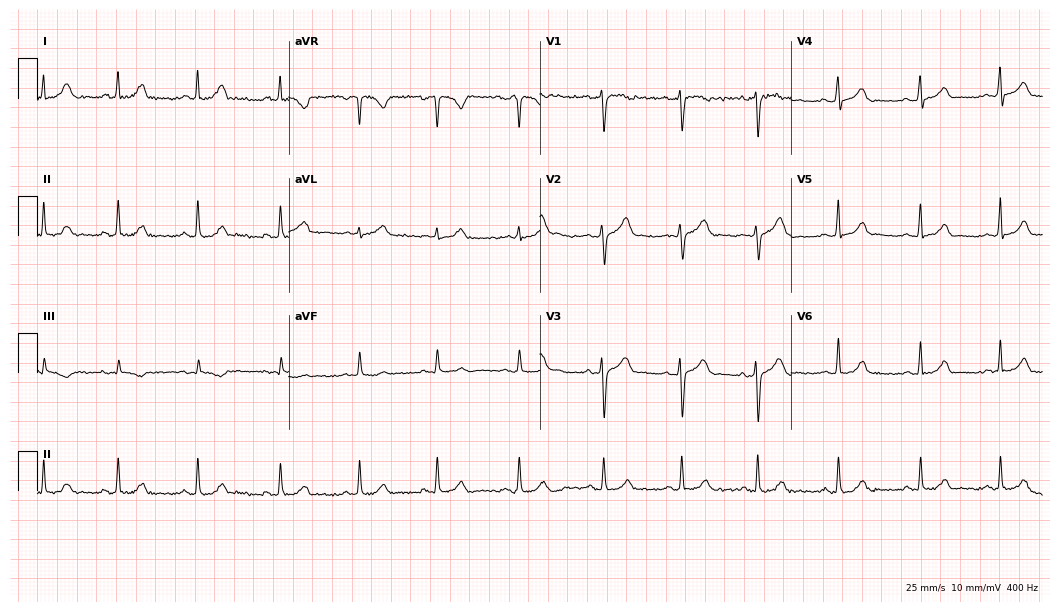
Resting 12-lead electrocardiogram (10.2-second recording at 400 Hz). Patient: a 30-year-old female. Read as a normal ECG.